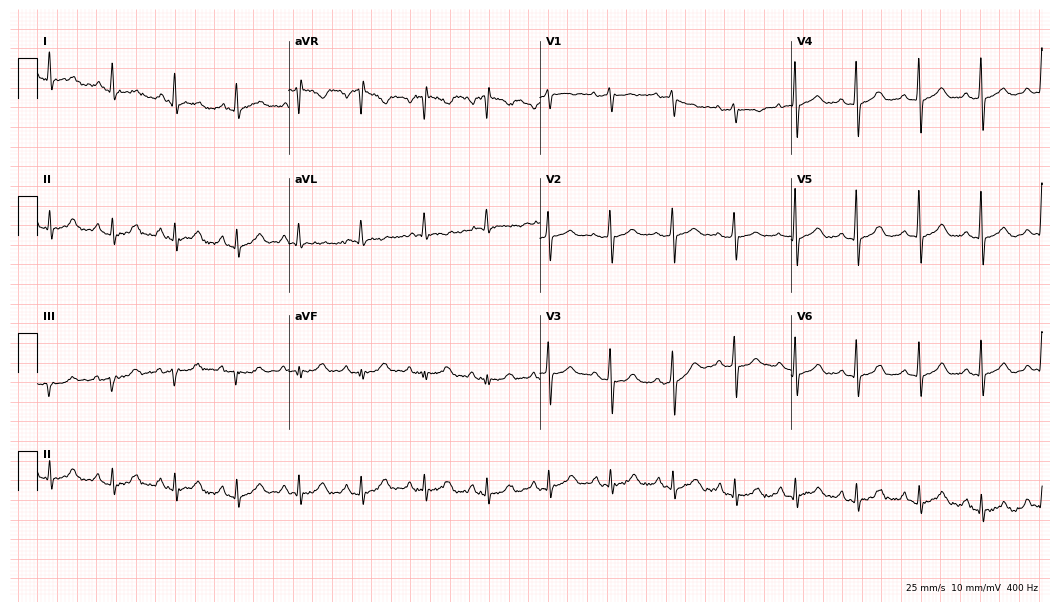
12-lead ECG from a 76-year-old woman. Labelled as a normal ECG.